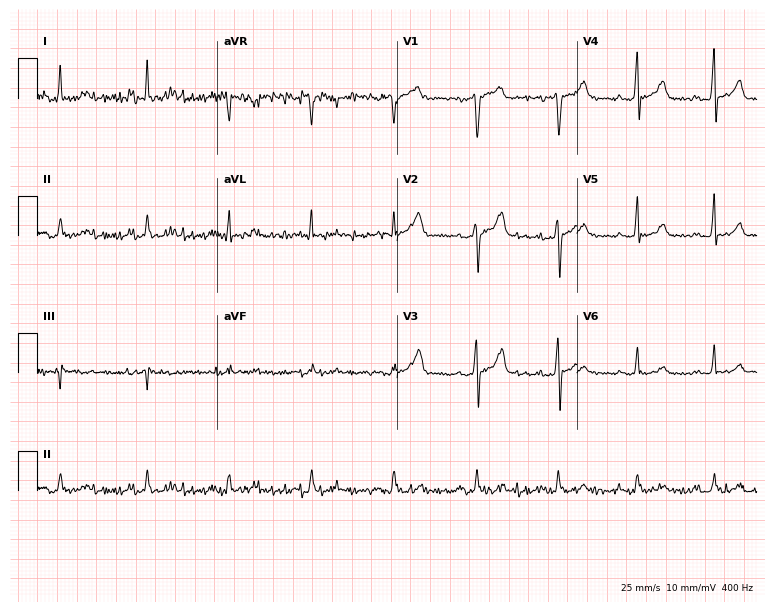
12-lead ECG from a 41-year-old female. Screened for six findings — first-degree AV block, right bundle branch block (RBBB), left bundle branch block (LBBB), sinus bradycardia, atrial fibrillation (AF), sinus tachycardia — none is recorded.